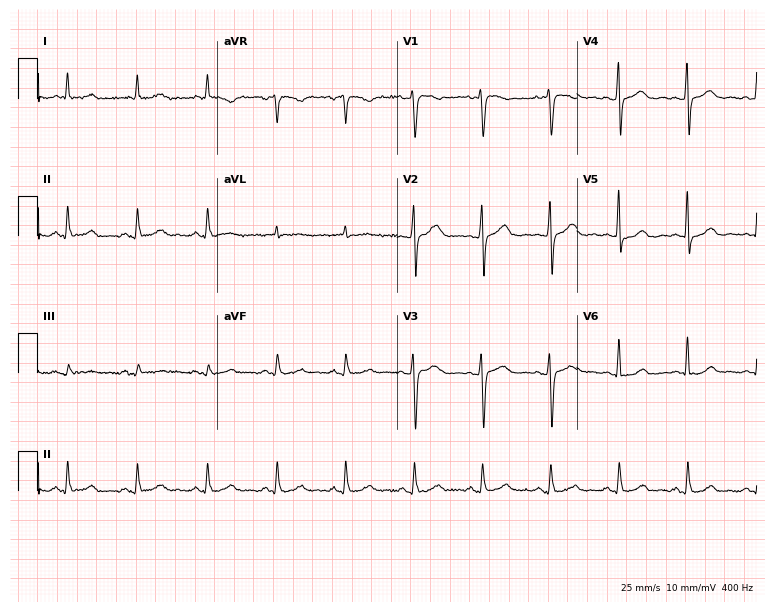
Standard 12-lead ECG recorded from a female, 52 years old. Read as a normal ECG.